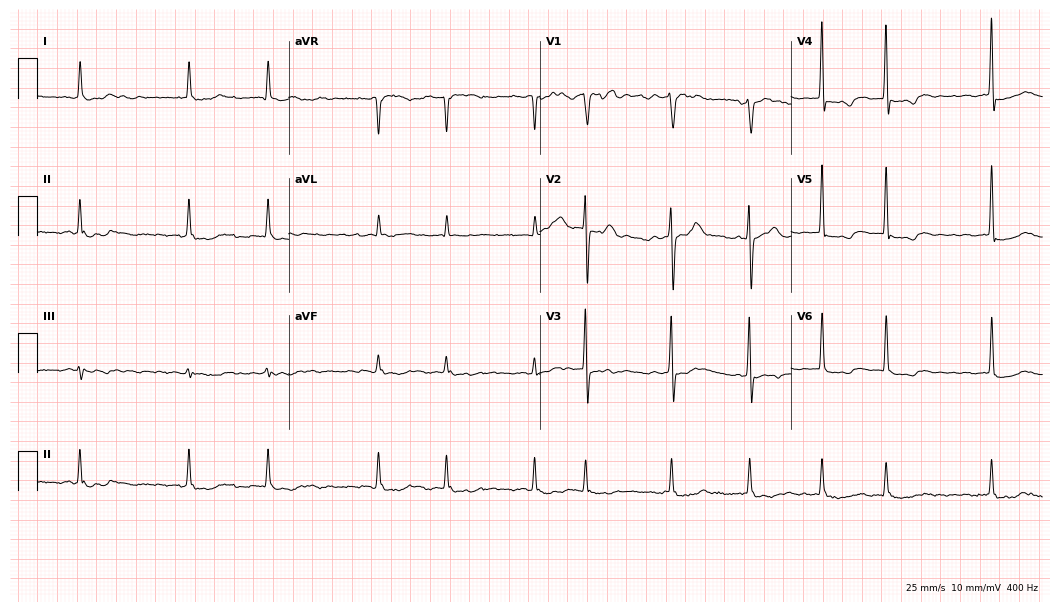
12-lead ECG (10.2-second recording at 400 Hz) from a man, 78 years old. Screened for six findings — first-degree AV block, right bundle branch block, left bundle branch block, sinus bradycardia, atrial fibrillation, sinus tachycardia — none is recorded. Findings outside these six are not listed.